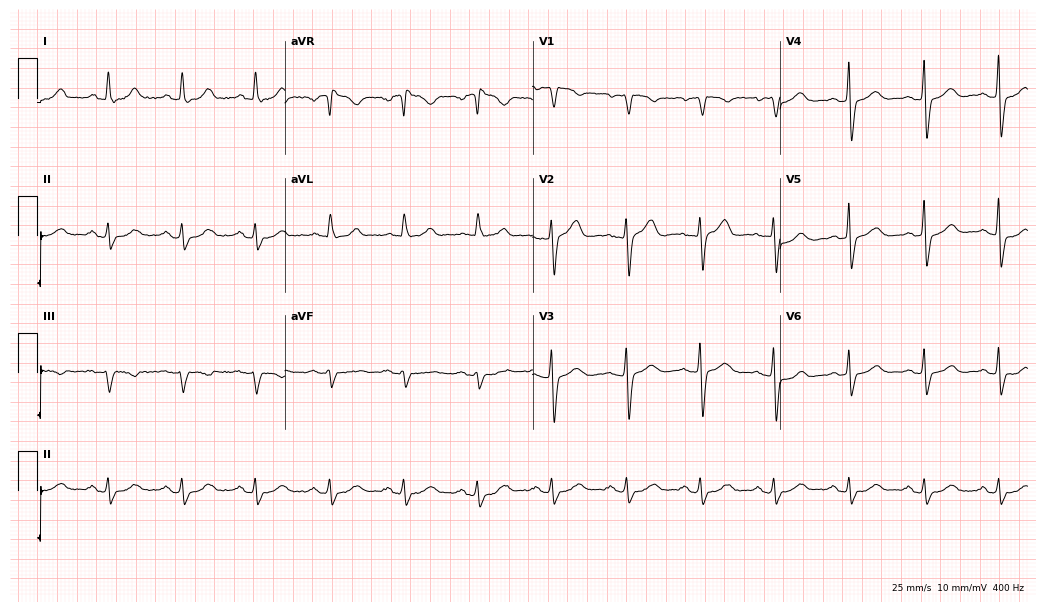
Resting 12-lead electrocardiogram. Patient: a female, 50 years old. None of these six findings is recorded: first-degree AV block, right bundle branch block, left bundle branch block, sinus bradycardia, atrial fibrillation, sinus tachycardia.